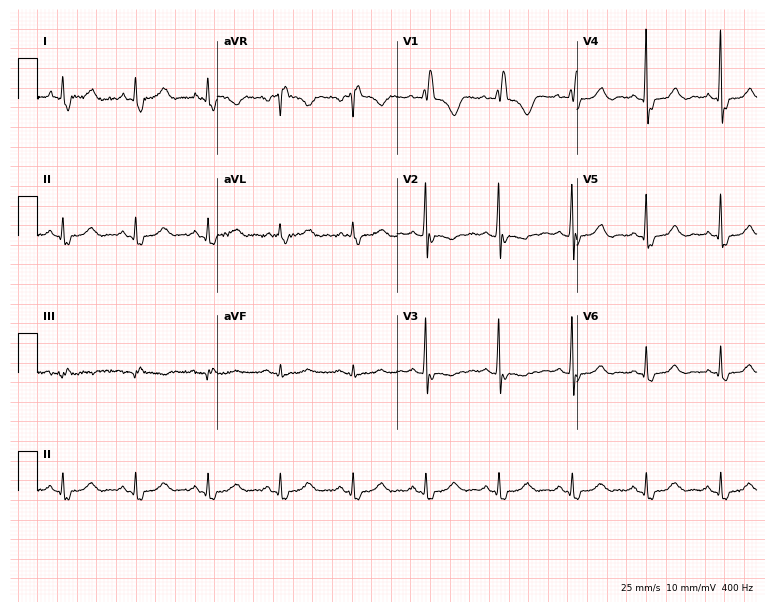
ECG — a 65-year-old woman. Findings include right bundle branch block.